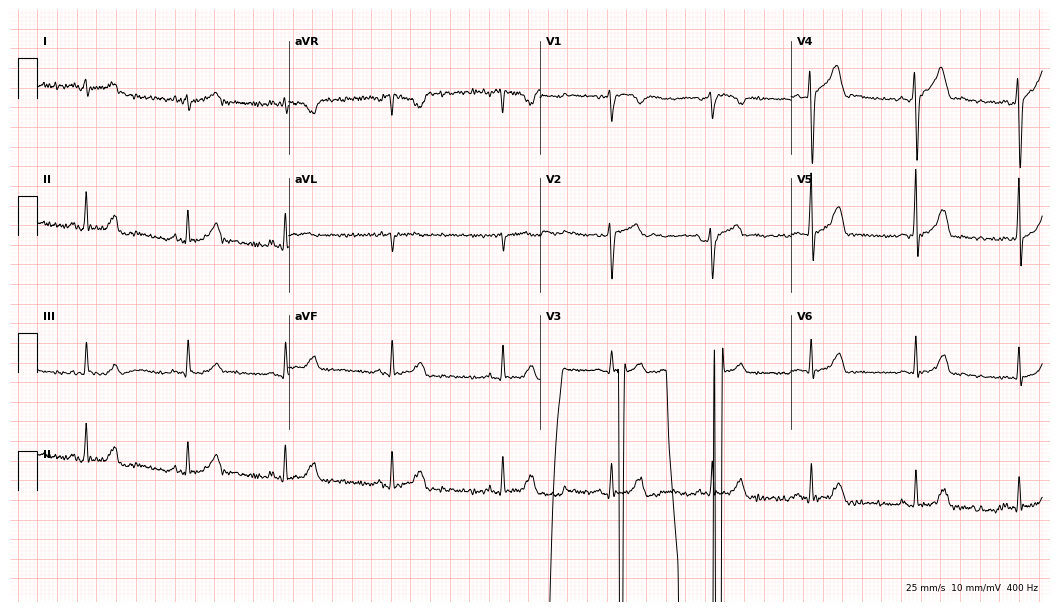
12-lead ECG (10.2-second recording at 400 Hz) from a 24-year-old man. Screened for six findings — first-degree AV block, right bundle branch block, left bundle branch block, sinus bradycardia, atrial fibrillation, sinus tachycardia — none is recorded.